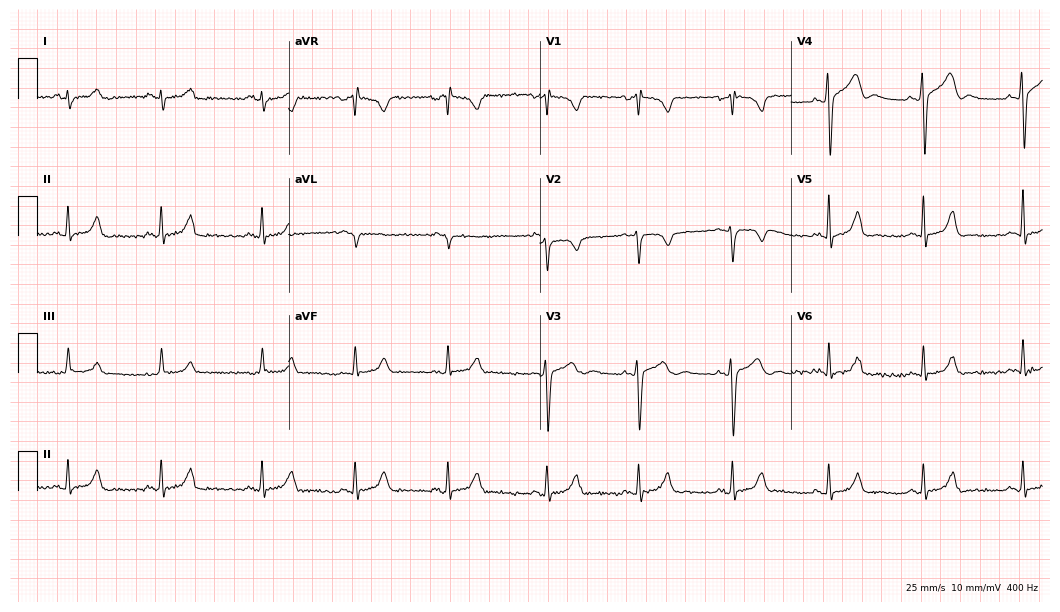
Standard 12-lead ECG recorded from a man, 18 years old. Read as a normal ECG.